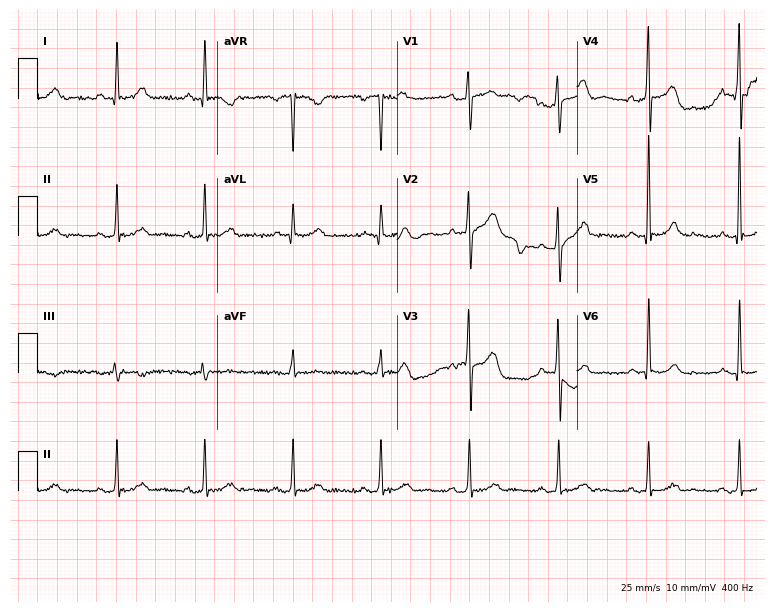
12-lead ECG from a 66-year-old man (7.3-second recording at 400 Hz). No first-degree AV block, right bundle branch block, left bundle branch block, sinus bradycardia, atrial fibrillation or sinus tachycardia recorded for this tracing.